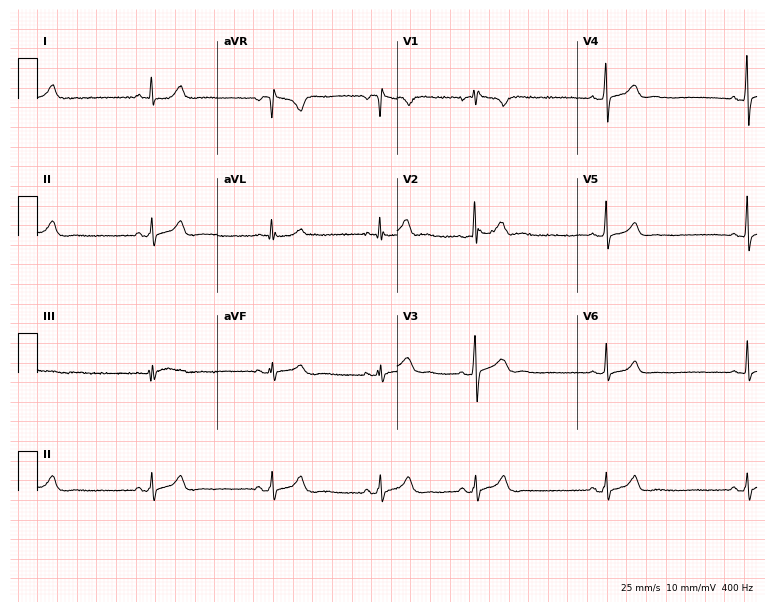
Resting 12-lead electrocardiogram. Patient: a 27-year-old male. The tracing shows sinus bradycardia (a sinus rate of 50 beats per minute or less).